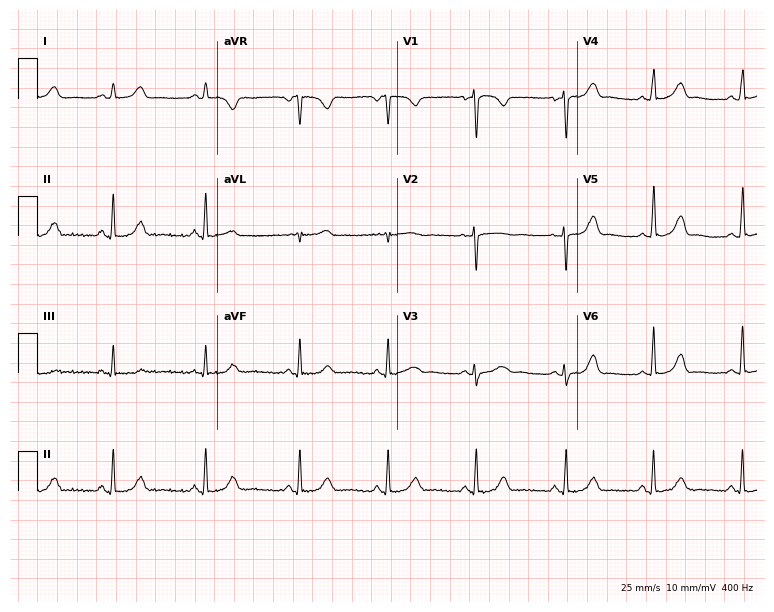
Resting 12-lead electrocardiogram (7.3-second recording at 400 Hz). Patient: a female, 24 years old. Read as a normal ECG.